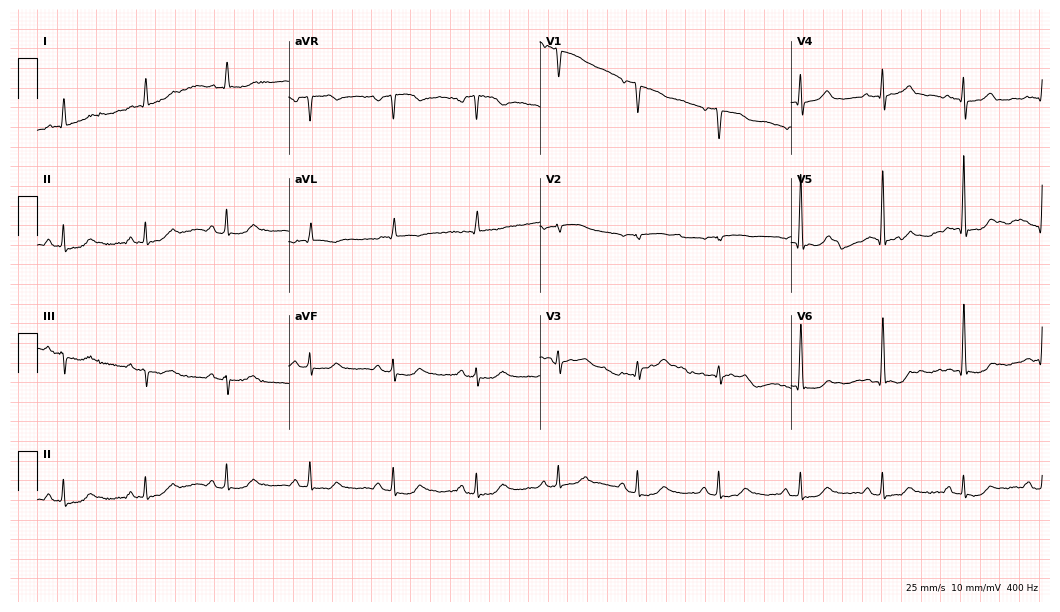
12-lead ECG (10.2-second recording at 400 Hz) from a male patient, 73 years old. Labelled as a normal ECG.